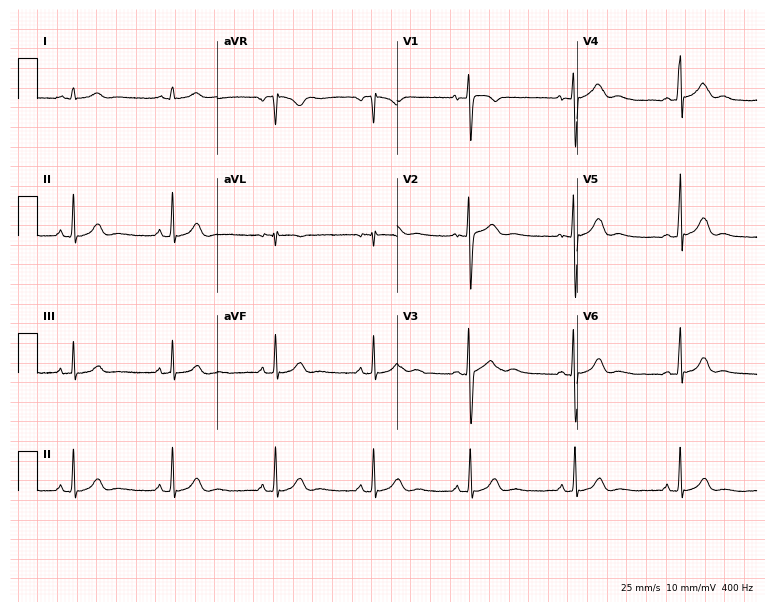
12-lead ECG from a 19-year-old female patient. Labelled as a normal ECG.